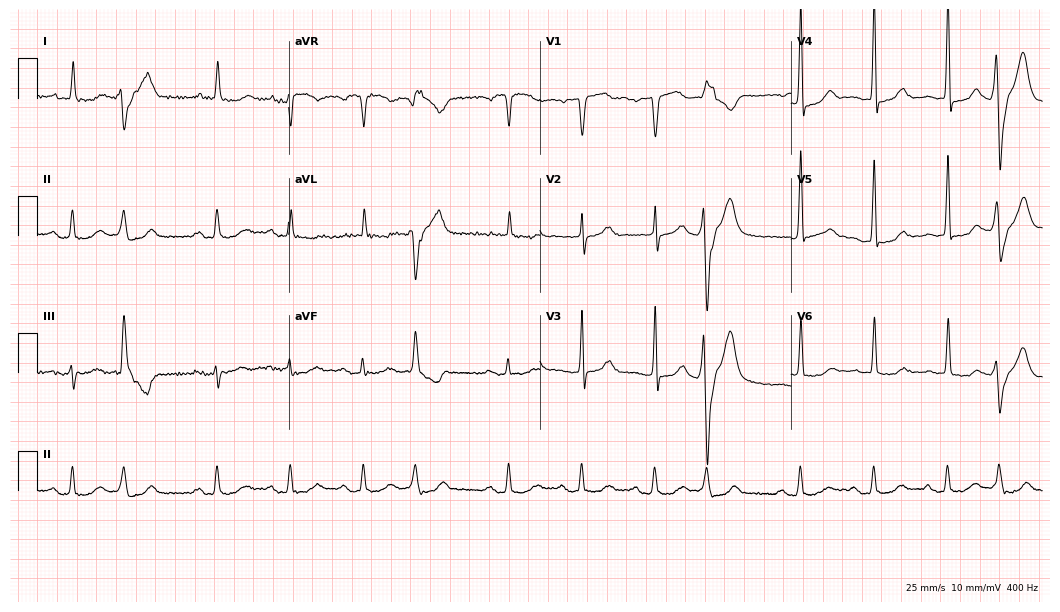
Resting 12-lead electrocardiogram (10.2-second recording at 400 Hz). Patient: an 80-year-old female. The tracing shows first-degree AV block.